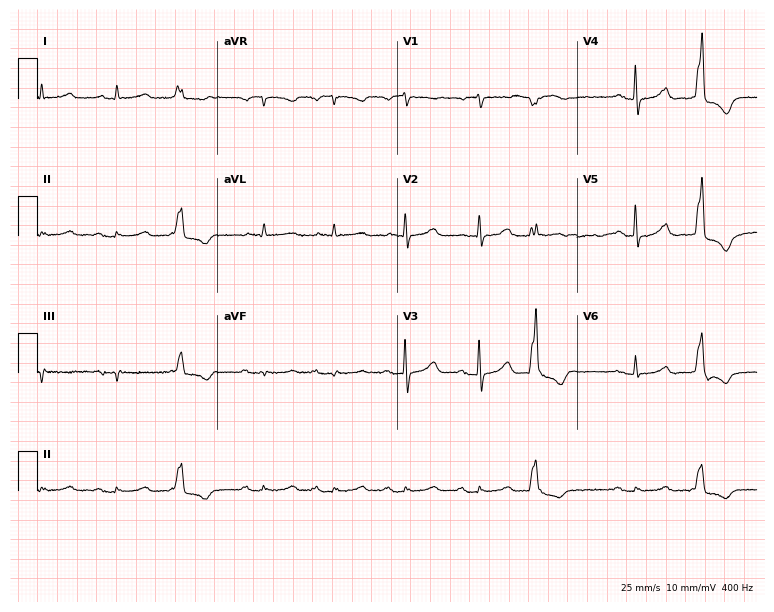
Resting 12-lead electrocardiogram (7.3-second recording at 400 Hz). Patient: a woman, 85 years old. None of these six findings is recorded: first-degree AV block, right bundle branch block, left bundle branch block, sinus bradycardia, atrial fibrillation, sinus tachycardia.